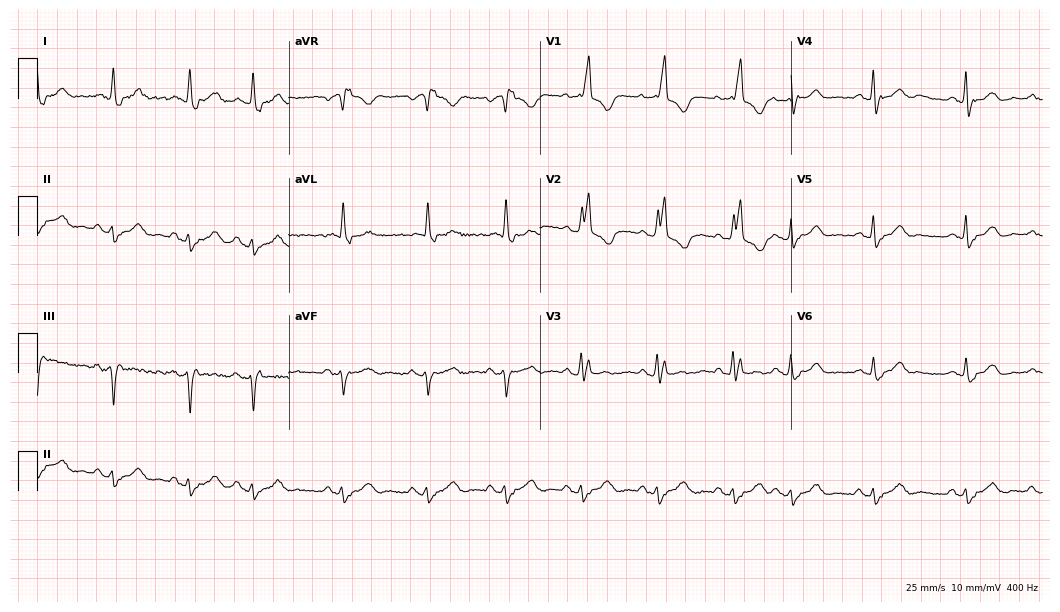
ECG (10.2-second recording at 400 Hz) — a female patient, 83 years old. Findings include right bundle branch block.